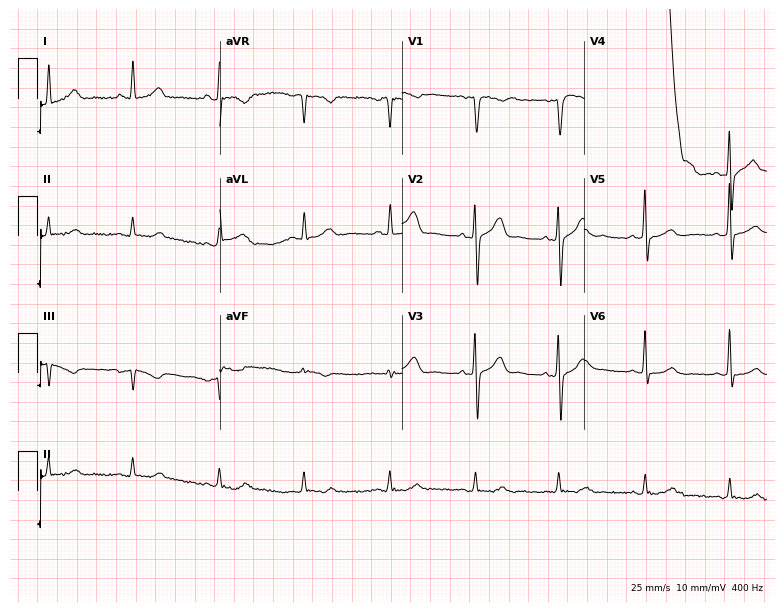
Standard 12-lead ECG recorded from a 57-year-old man. Read as a normal ECG.